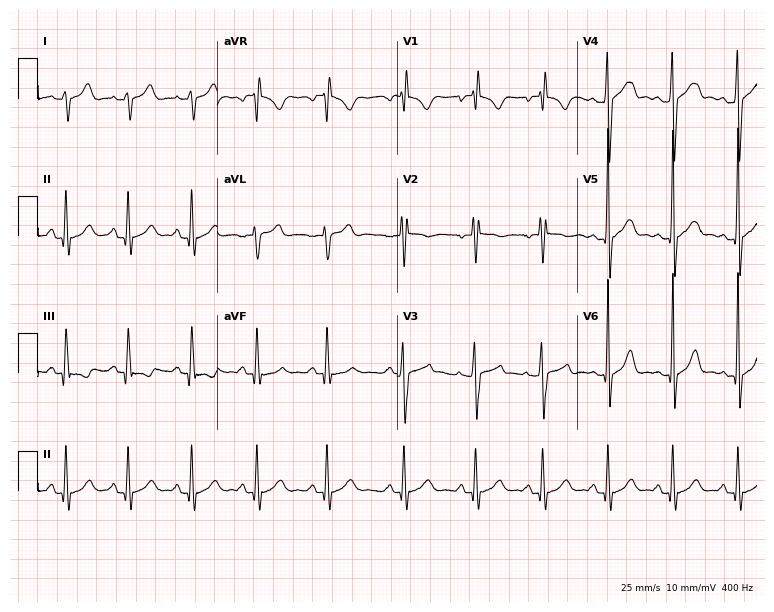
Resting 12-lead electrocardiogram. Patient: a male, 20 years old. None of these six findings is recorded: first-degree AV block, right bundle branch block, left bundle branch block, sinus bradycardia, atrial fibrillation, sinus tachycardia. Findings outside these six are not listed.